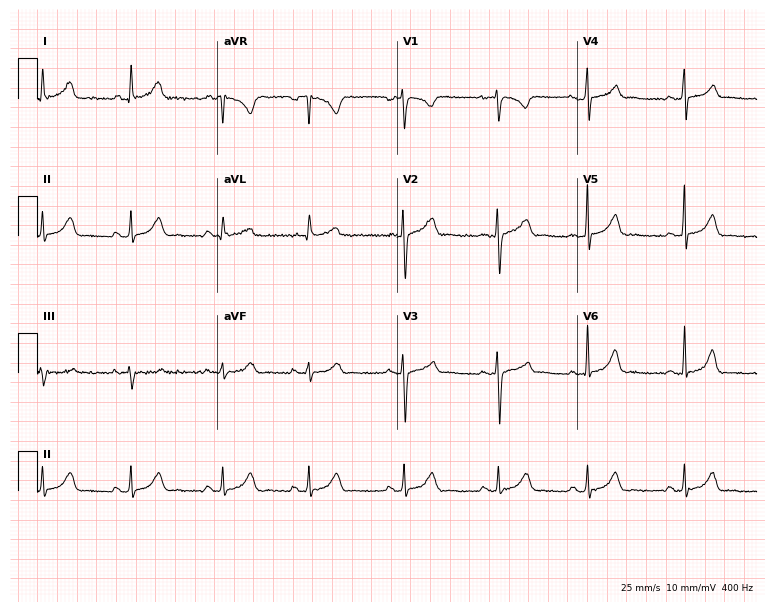
Electrocardiogram, a female, 24 years old. Of the six screened findings (first-degree AV block, right bundle branch block, left bundle branch block, sinus bradycardia, atrial fibrillation, sinus tachycardia), none is recorded. Other findings, if any, are not listed.